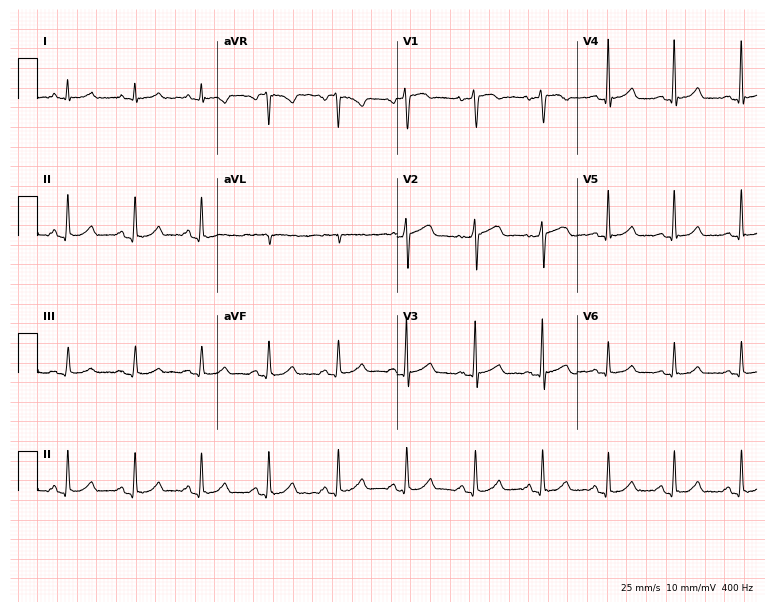
ECG — a female, 52 years old. Labelled as a normal ECG.